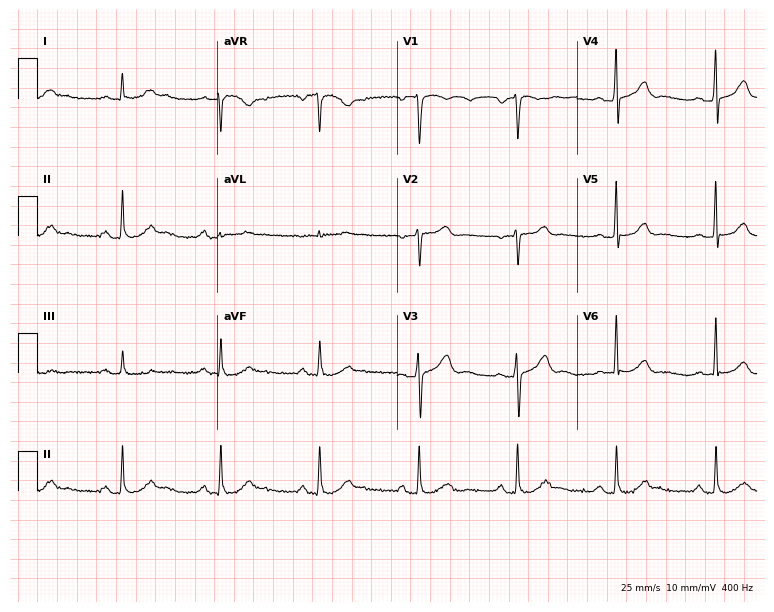
12-lead ECG (7.3-second recording at 400 Hz) from a male, 49 years old. Labelled as a normal ECG.